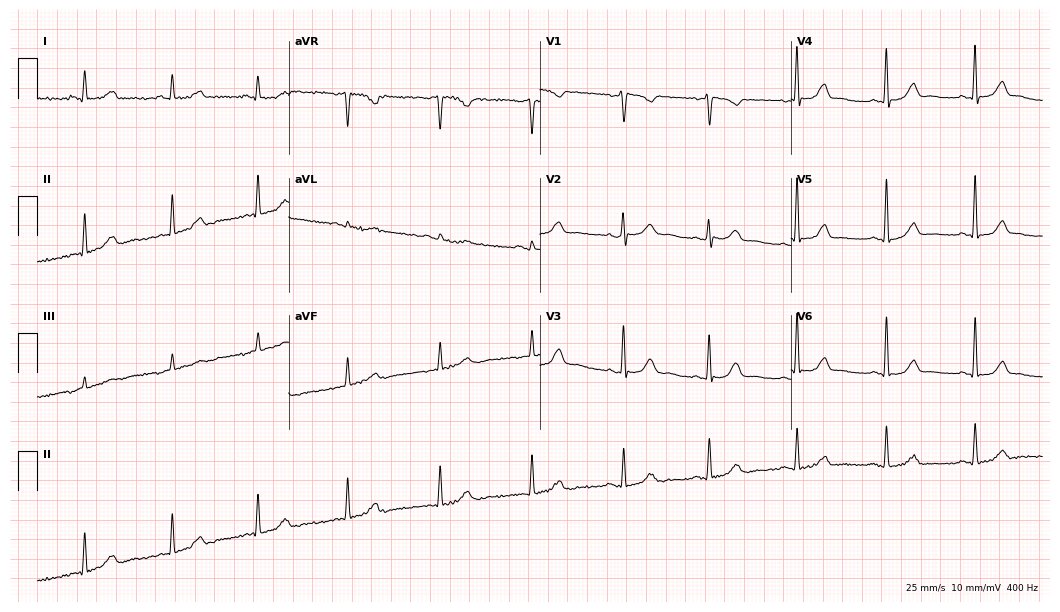
Resting 12-lead electrocardiogram. Patient: a 55-year-old female. None of these six findings is recorded: first-degree AV block, right bundle branch block, left bundle branch block, sinus bradycardia, atrial fibrillation, sinus tachycardia.